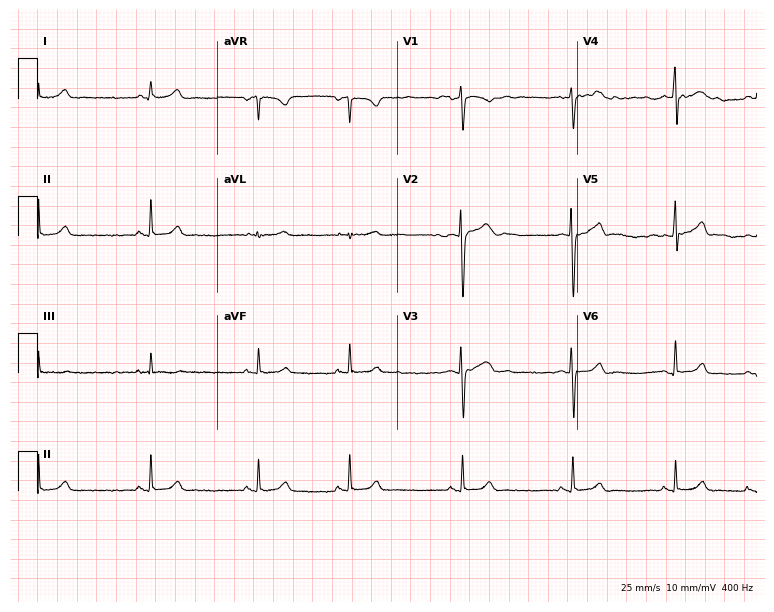
Standard 12-lead ECG recorded from a 22-year-old female (7.3-second recording at 400 Hz). Read as a normal ECG.